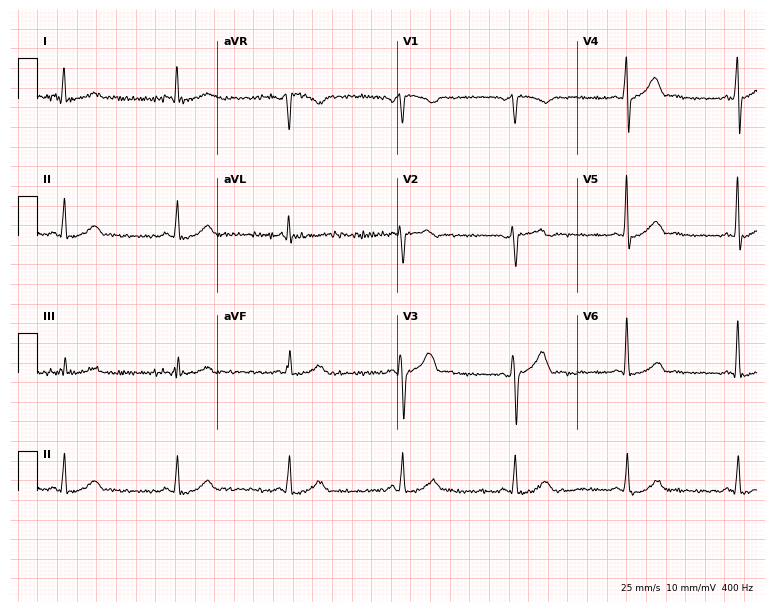
Electrocardiogram (7.3-second recording at 400 Hz), a 54-year-old male. Overall reading on record: normal ECG.